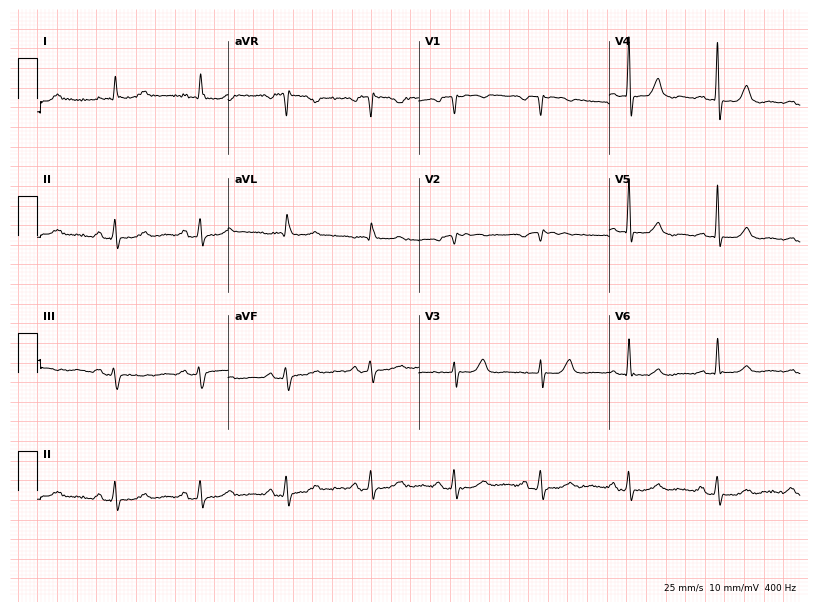
Electrocardiogram (7.8-second recording at 400 Hz), a woman, 76 years old. Of the six screened findings (first-degree AV block, right bundle branch block (RBBB), left bundle branch block (LBBB), sinus bradycardia, atrial fibrillation (AF), sinus tachycardia), none is recorded.